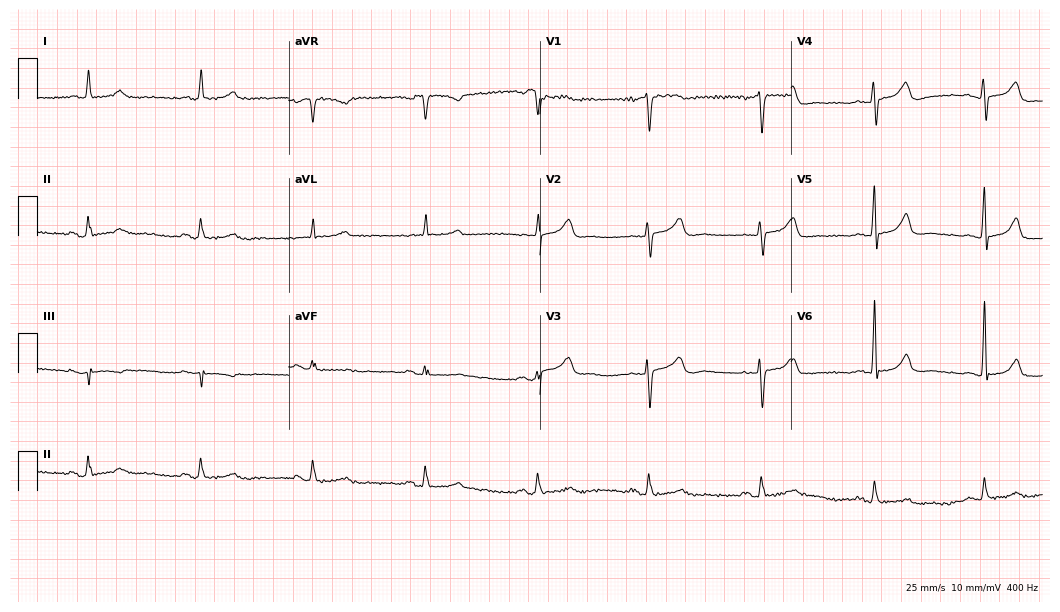
12-lead ECG from a female patient, 68 years old (10.2-second recording at 400 Hz). Recorded interpretation: within normal limits.